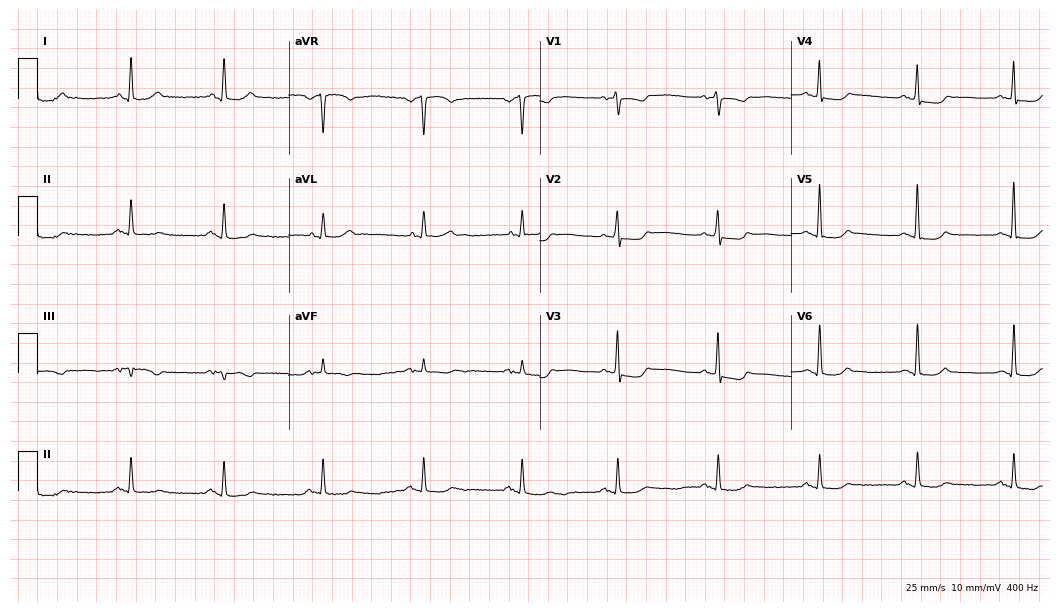
Resting 12-lead electrocardiogram. Patient: a woman, 78 years old. None of these six findings is recorded: first-degree AV block, right bundle branch block, left bundle branch block, sinus bradycardia, atrial fibrillation, sinus tachycardia. Only these six findings were labelled.